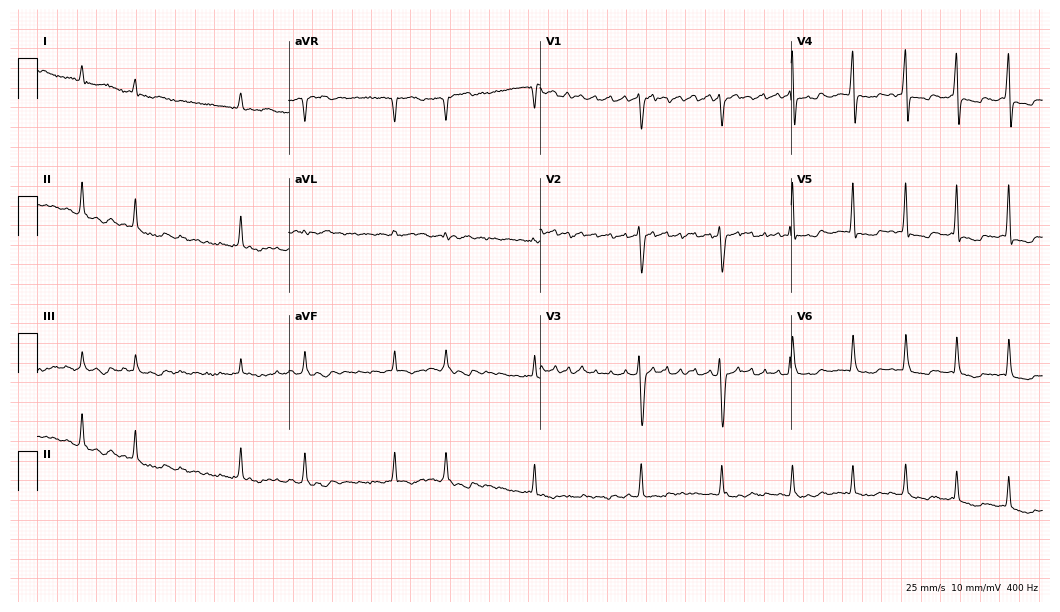
ECG — a 67-year-old female patient. Findings include atrial fibrillation.